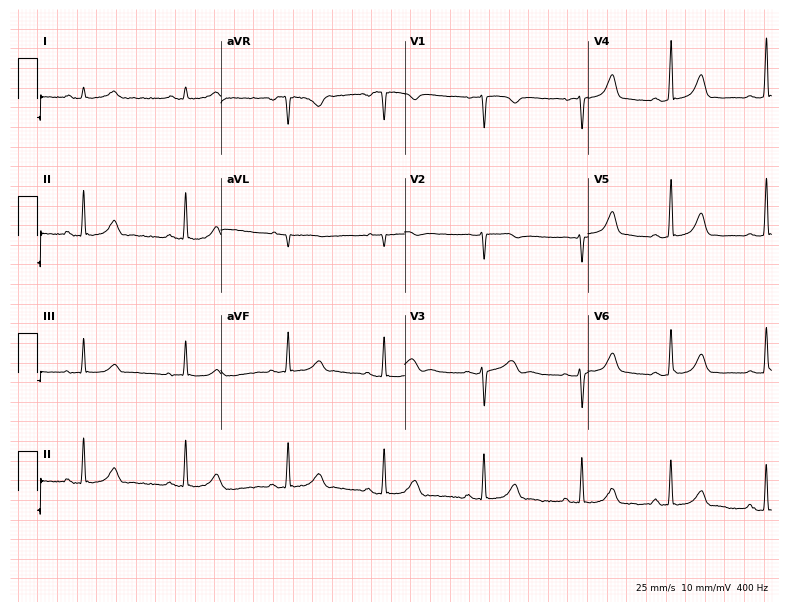
12-lead ECG from a 30-year-old female patient. Recorded interpretation: within normal limits.